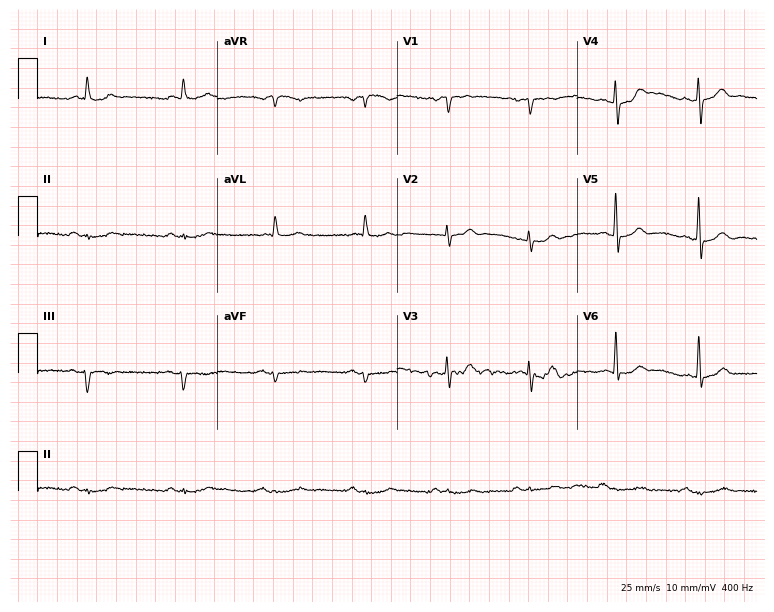
12-lead ECG from a man, 68 years old. Screened for six findings — first-degree AV block, right bundle branch block (RBBB), left bundle branch block (LBBB), sinus bradycardia, atrial fibrillation (AF), sinus tachycardia — none is recorded. Only these six findings were labelled.